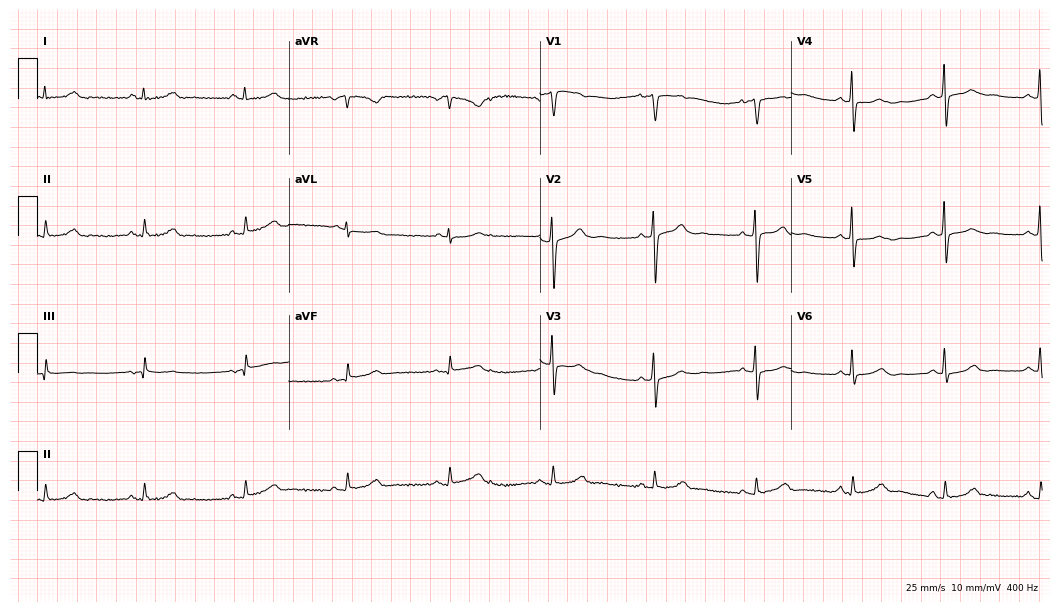
12-lead ECG from a female, 66 years old. Recorded interpretation: within normal limits.